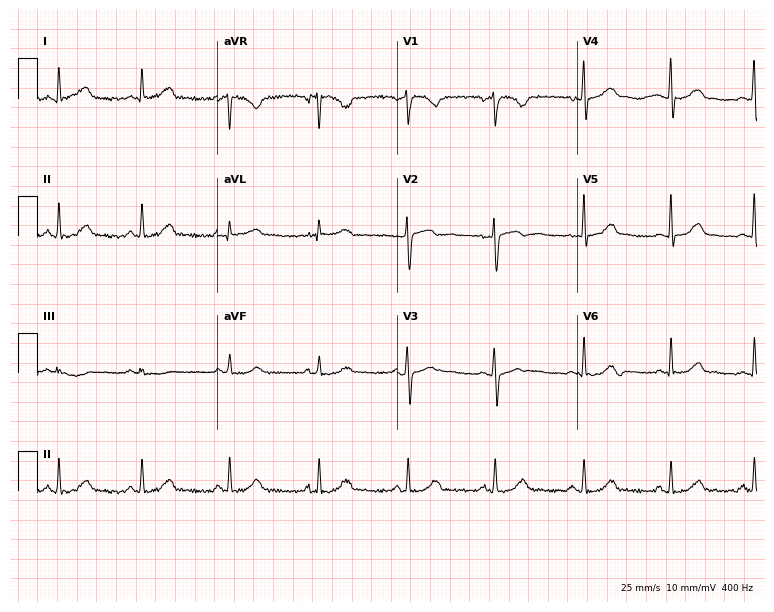
ECG (7.3-second recording at 400 Hz) — a woman, 32 years old. Labelled as a normal ECG.